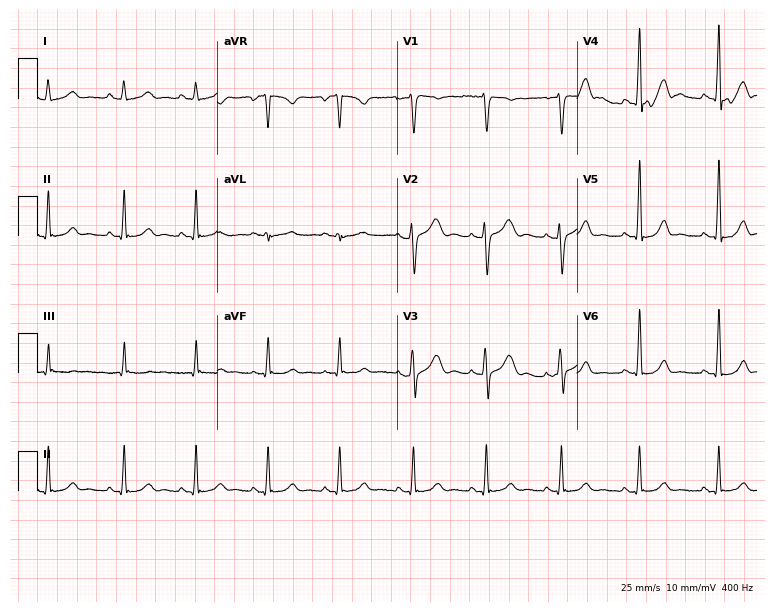
12-lead ECG from a female, 31 years old (7.3-second recording at 400 Hz). No first-degree AV block, right bundle branch block, left bundle branch block, sinus bradycardia, atrial fibrillation or sinus tachycardia recorded for this tracing.